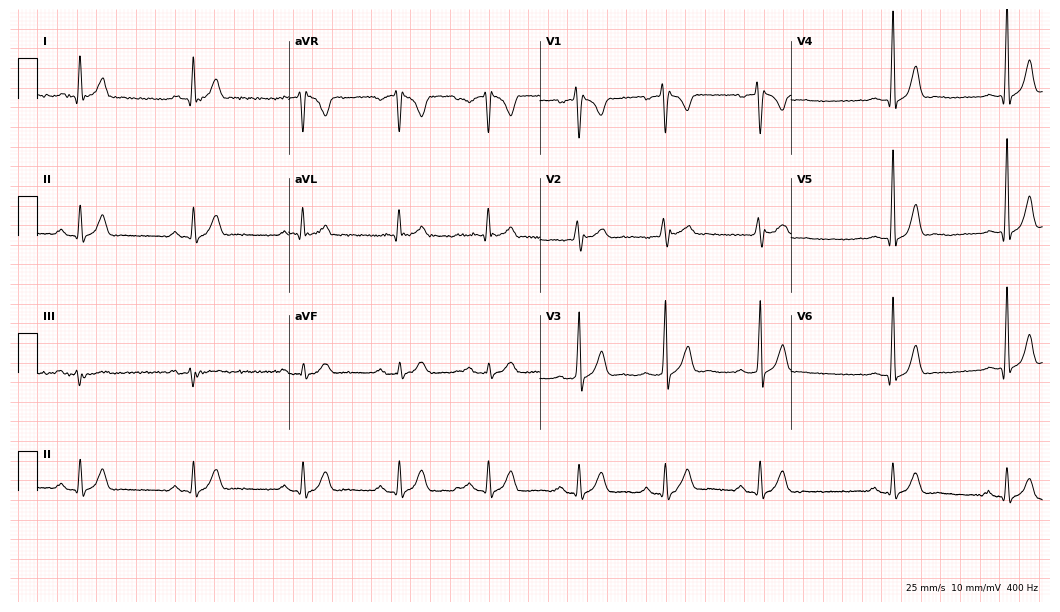
Standard 12-lead ECG recorded from a 40-year-old male. The tracing shows right bundle branch block (RBBB).